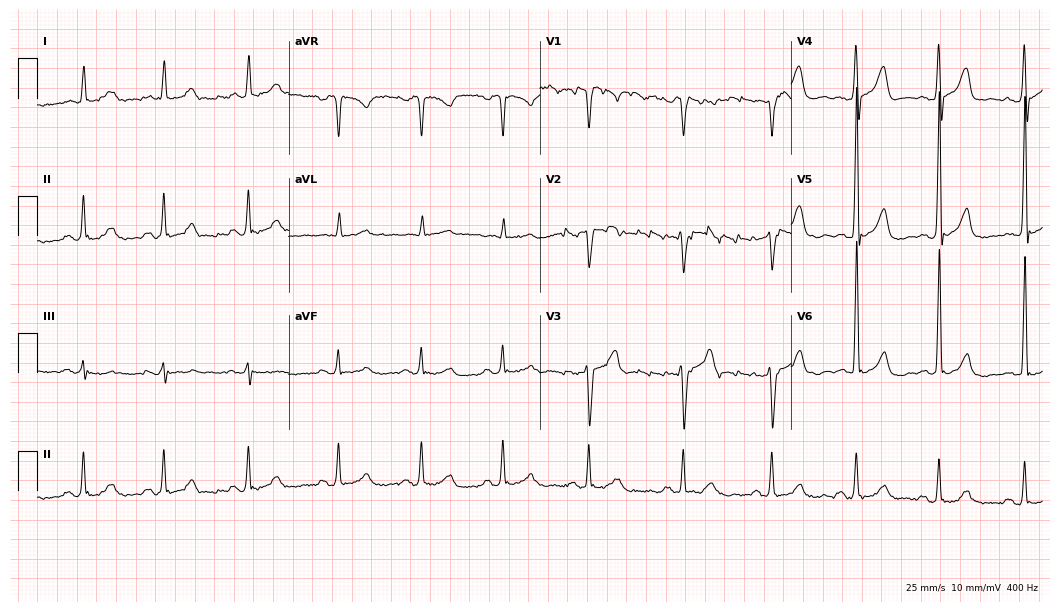
ECG (10.2-second recording at 400 Hz) — a man, 58 years old. Screened for six findings — first-degree AV block, right bundle branch block, left bundle branch block, sinus bradycardia, atrial fibrillation, sinus tachycardia — none is recorded.